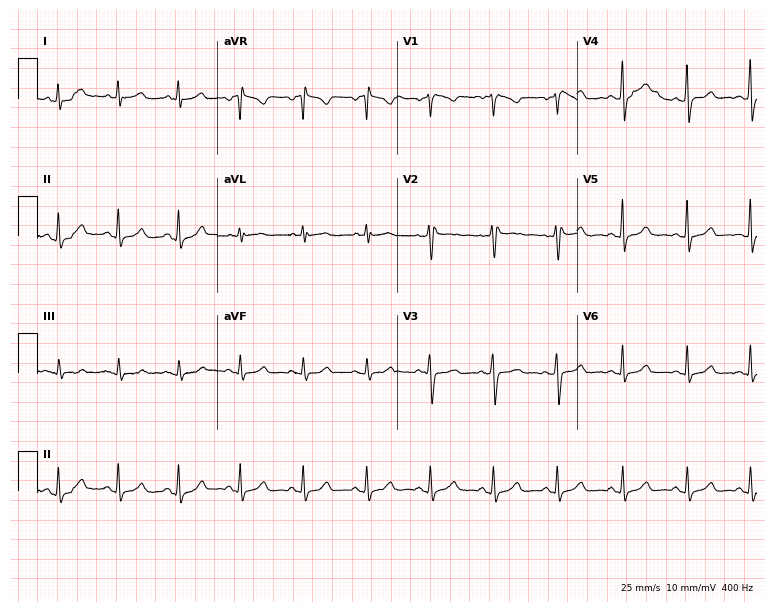
12-lead ECG from a 37-year-old female. Screened for six findings — first-degree AV block, right bundle branch block, left bundle branch block, sinus bradycardia, atrial fibrillation, sinus tachycardia — none is recorded. Findings outside these six are not listed.